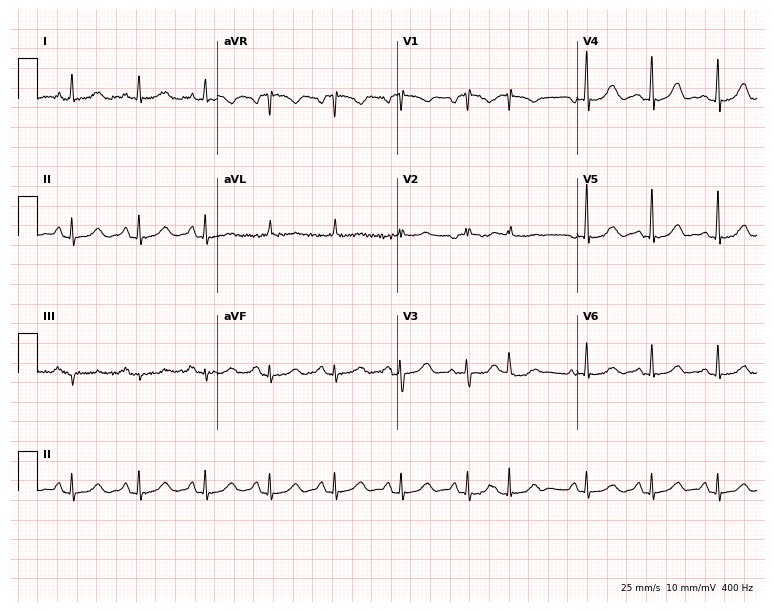
12-lead ECG (7.3-second recording at 400 Hz) from a woman, 56 years old. Screened for six findings — first-degree AV block, right bundle branch block, left bundle branch block, sinus bradycardia, atrial fibrillation, sinus tachycardia — none is recorded. Only these six findings were labelled.